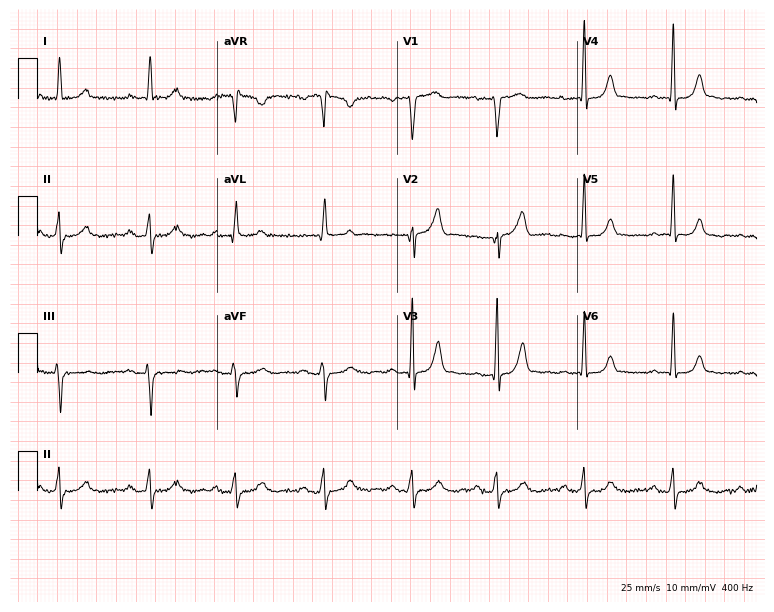
Electrocardiogram, a 56-year-old woman. Overall reading on record: normal ECG.